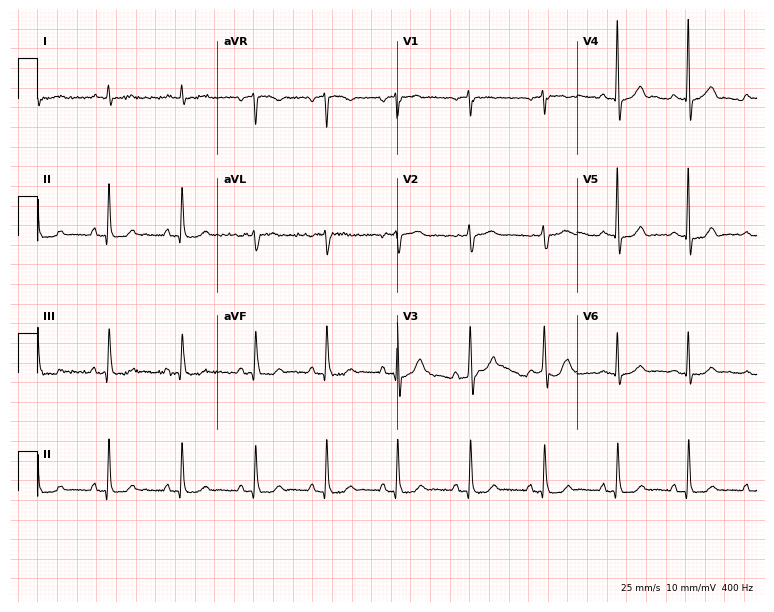
12-lead ECG from a 77-year-old male patient (7.3-second recording at 400 Hz). Recorded interpretation: within normal limits.